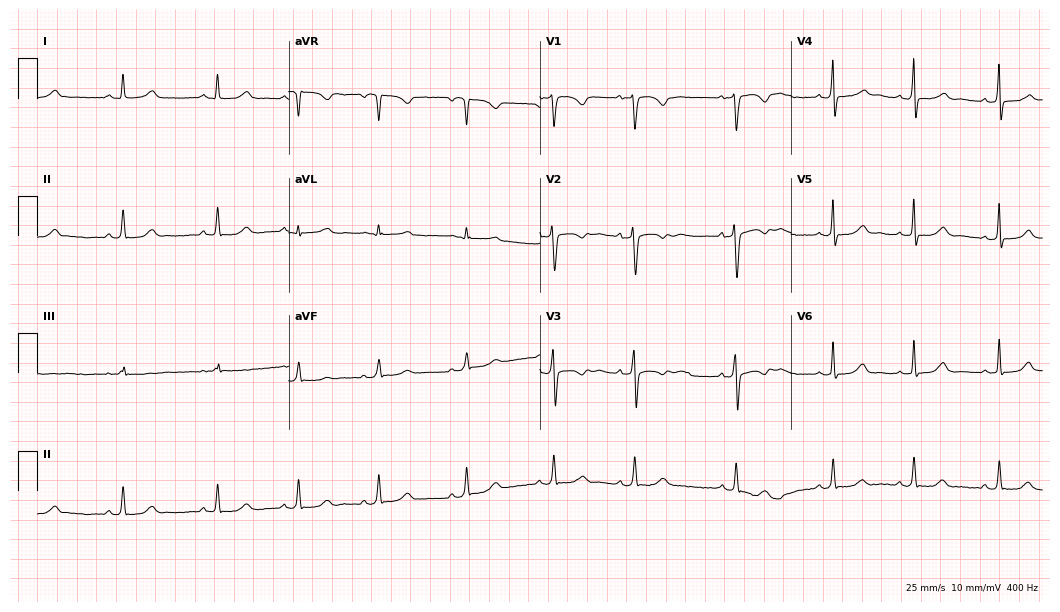
ECG — a 22-year-old female. Labelled as a normal ECG.